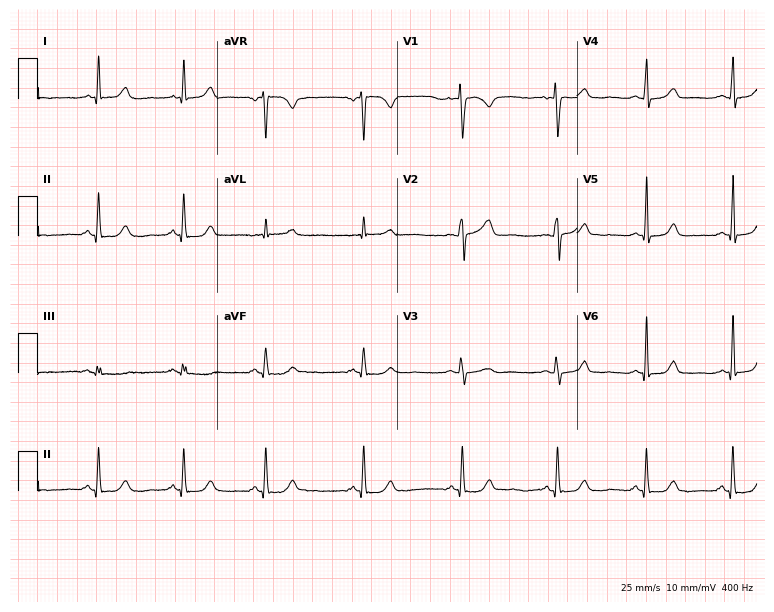
12-lead ECG from a 39-year-old female patient. Screened for six findings — first-degree AV block, right bundle branch block, left bundle branch block, sinus bradycardia, atrial fibrillation, sinus tachycardia — none is recorded.